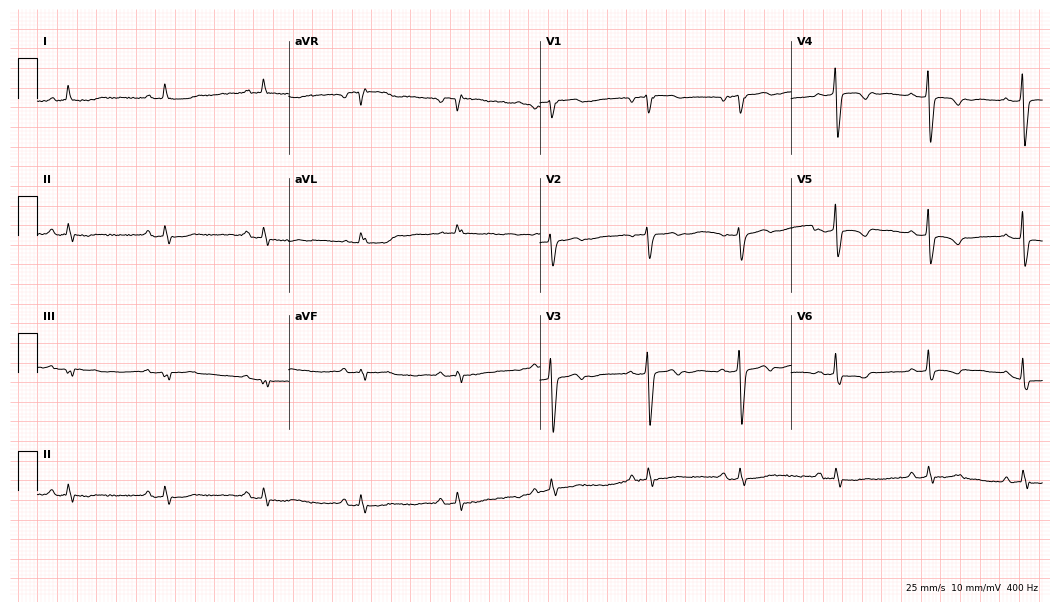
Standard 12-lead ECG recorded from a female, 78 years old. None of these six findings is recorded: first-degree AV block, right bundle branch block, left bundle branch block, sinus bradycardia, atrial fibrillation, sinus tachycardia. Other findings, if any, are not listed.